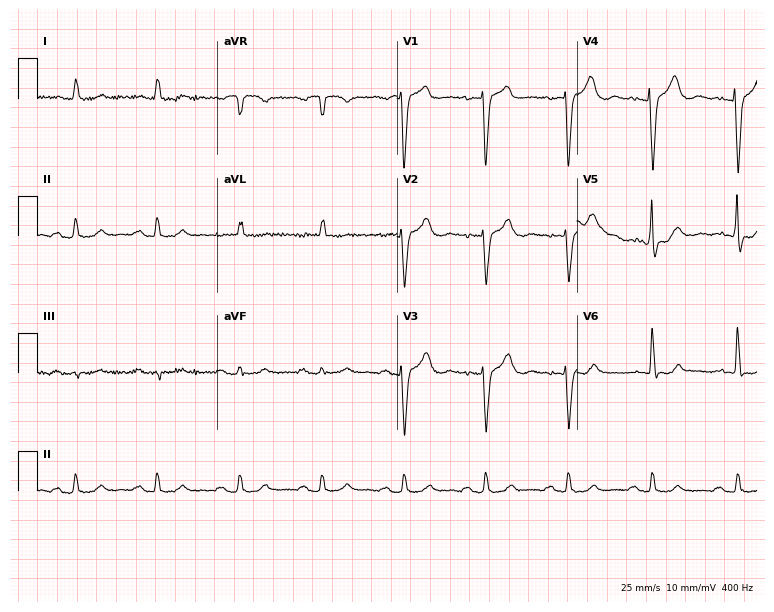
Standard 12-lead ECG recorded from a 69-year-old male patient. None of these six findings is recorded: first-degree AV block, right bundle branch block (RBBB), left bundle branch block (LBBB), sinus bradycardia, atrial fibrillation (AF), sinus tachycardia.